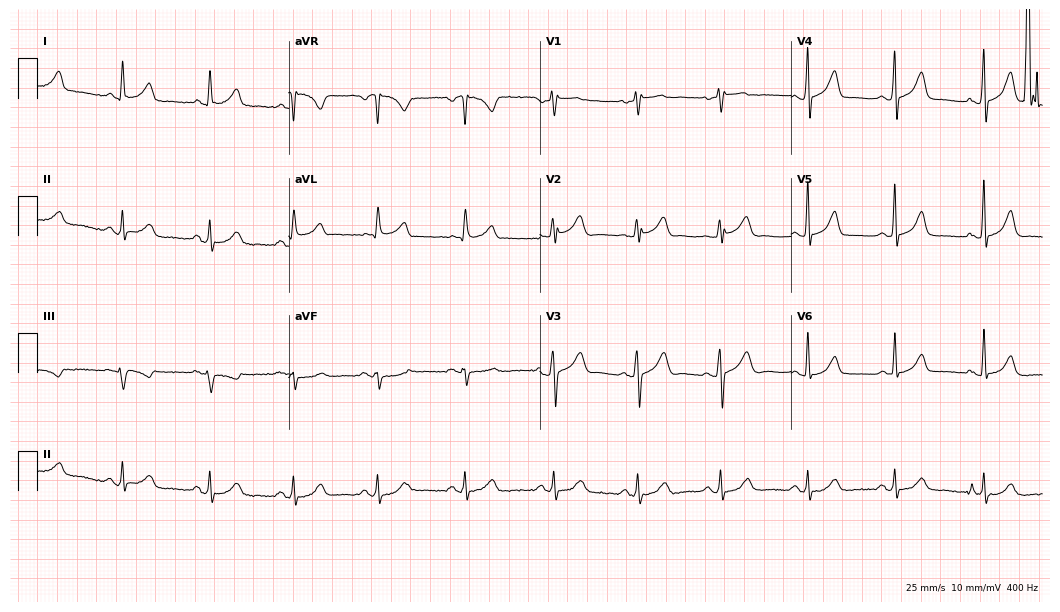
Electrocardiogram (10.2-second recording at 400 Hz), a 62-year-old woman. Of the six screened findings (first-degree AV block, right bundle branch block, left bundle branch block, sinus bradycardia, atrial fibrillation, sinus tachycardia), none is recorded.